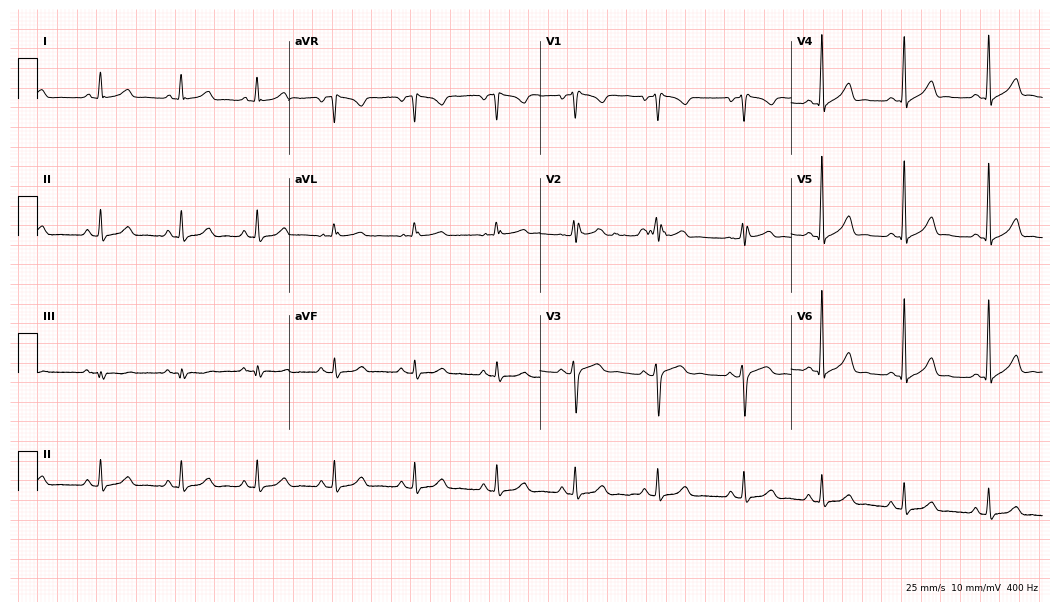
Resting 12-lead electrocardiogram (10.2-second recording at 400 Hz). Patient: a 41-year-old woman. Read as a normal ECG.